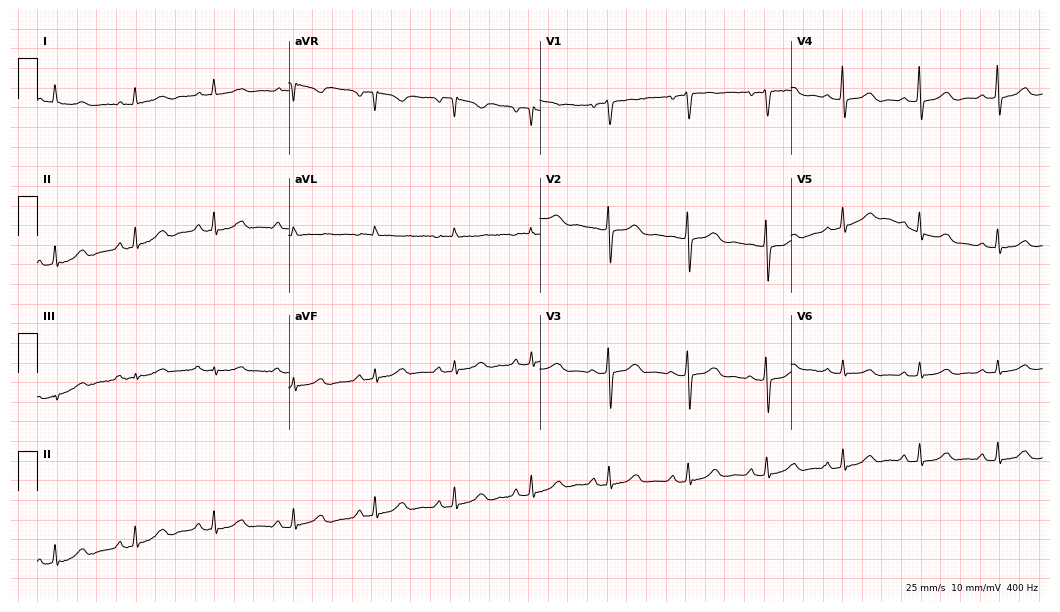
12-lead ECG from a female patient, 72 years old. Recorded interpretation: within normal limits.